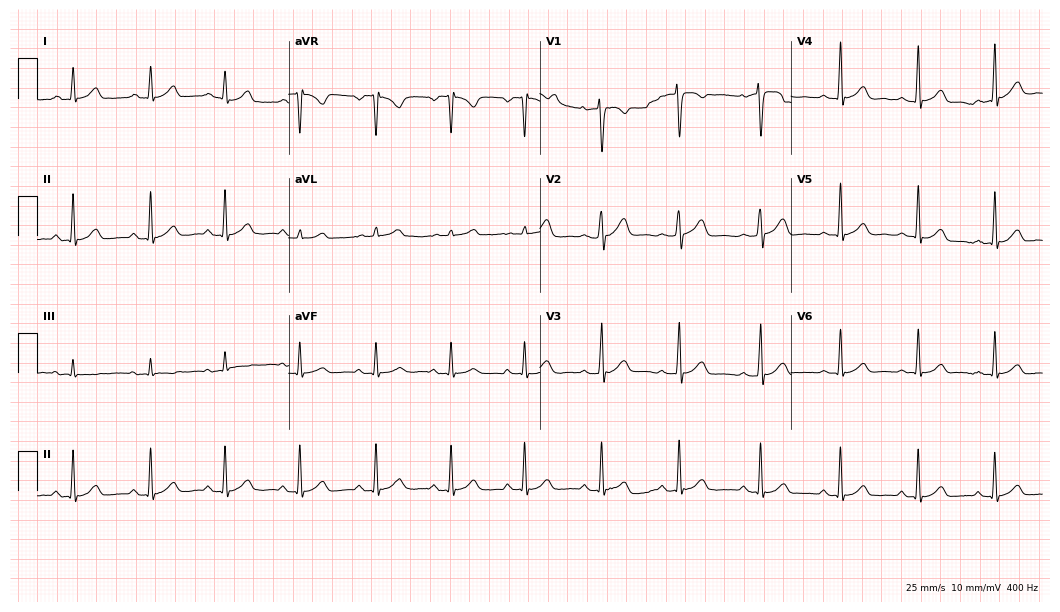
ECG — a female, 29 years old. Labelled as a normal ECG.